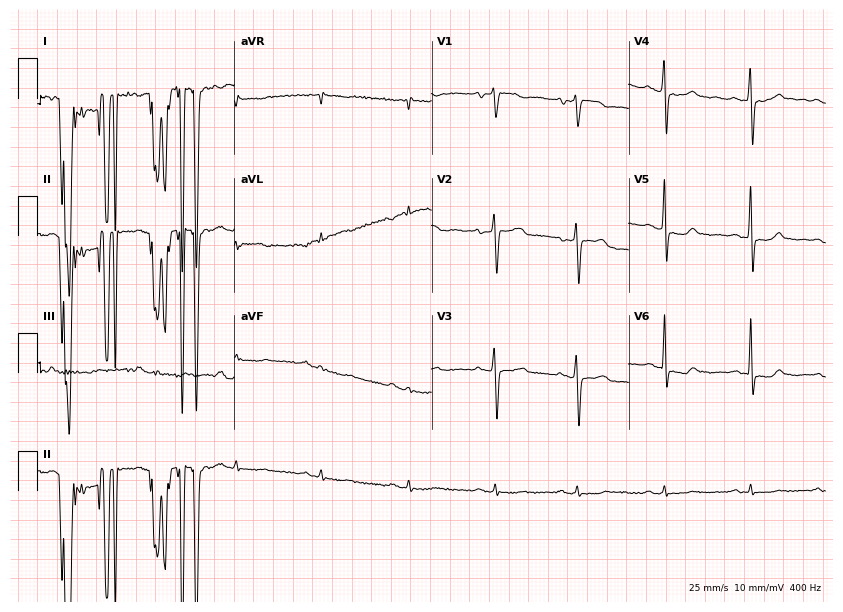
12-lead ECG from a female patient, 57 years old. Labelled as a normal ECG.